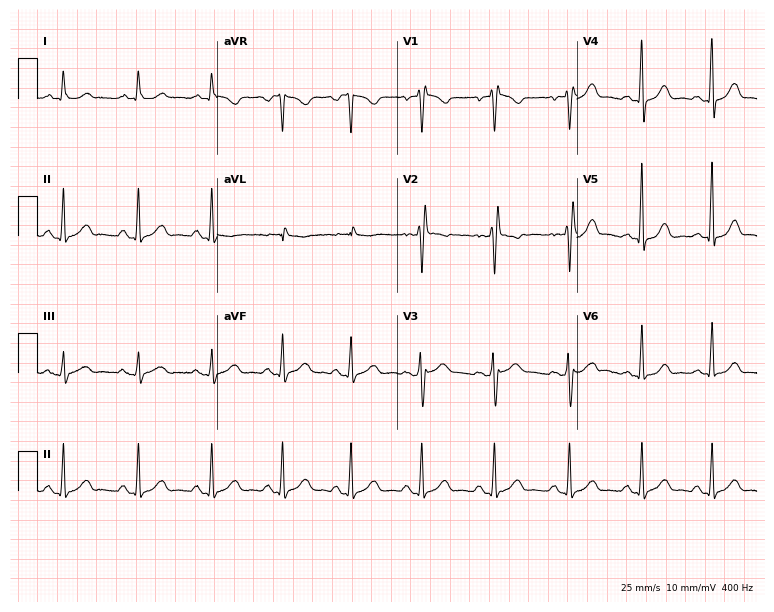
Electrocardiogram, a woman, 59 years old. Of the six screened findings (first-degree AV block, right bundle branch block (RBBB), left bundle branch block (LBBB), sinus bradycardia, atrial fibrillation (AF), sinus tachycardia), none is recorded.